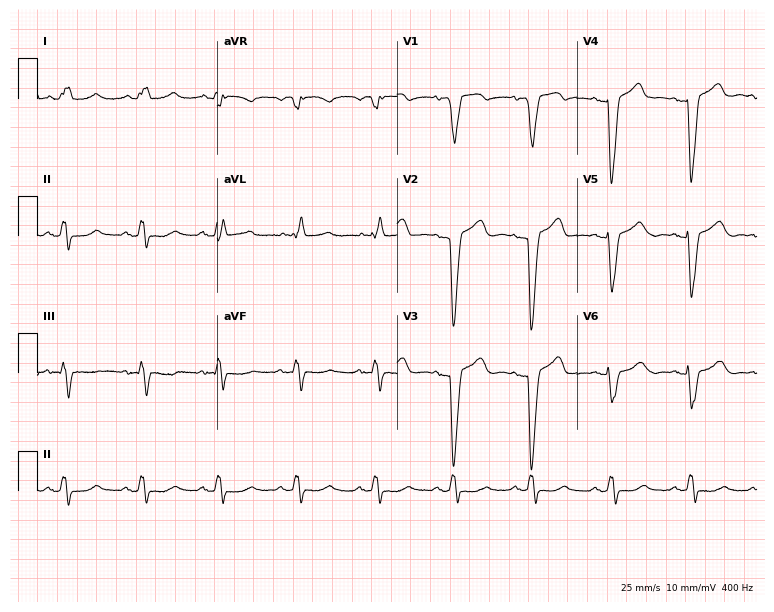
ECG (7.3-second recording at 400 Hz) — a female patient, 80 years old. Findings include left bundle branch block (LBBB).